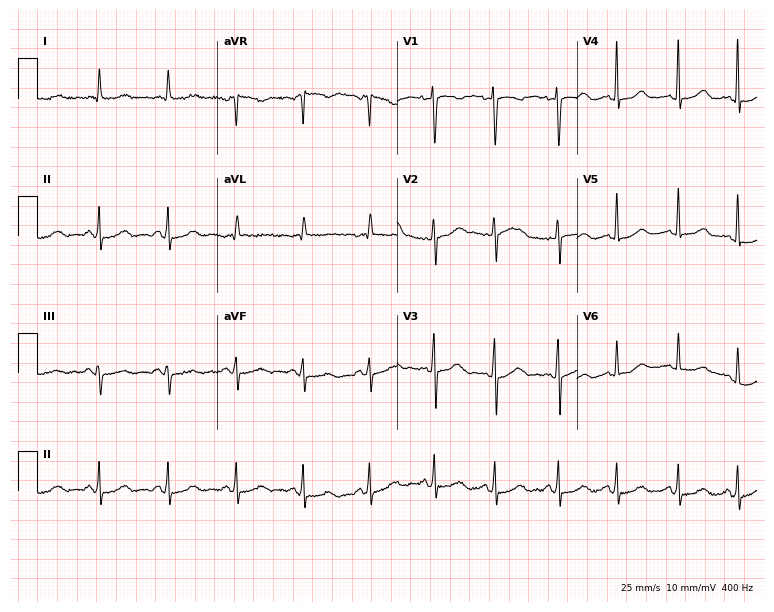
12-lead ECG from a woman, 40 years old. Labelled as a normal ECG.